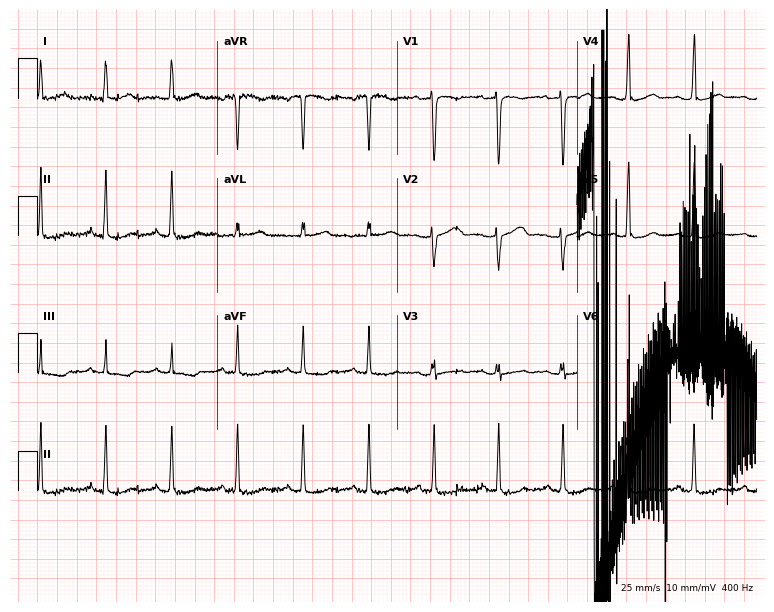
Standard 12-lead ECG recorded from a 37-year-old female (7.3-second recording at 400 Hz). None of these six findings is recorded: first-degree AV block, right bundle branch block, left bundle branch block, sinus bradycardia, atrial fibrillation, sinus tachycardia. Only these six findings were labelled.